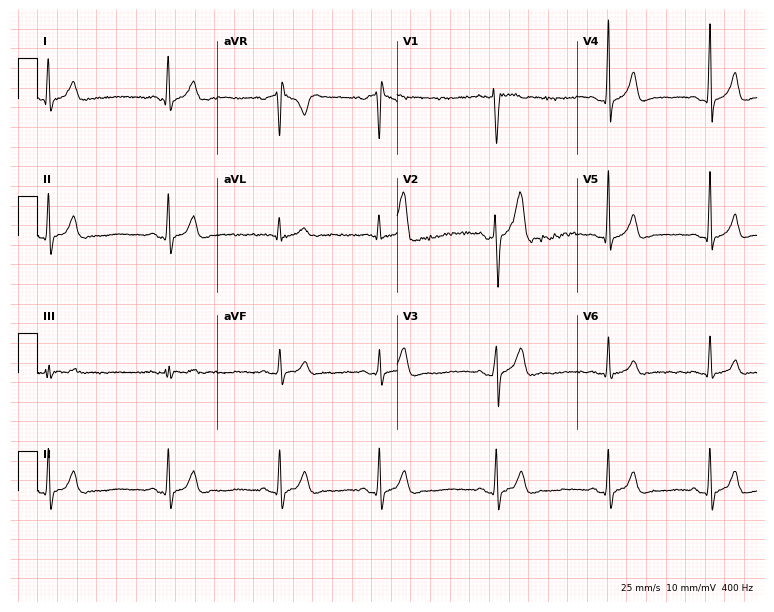
Resting 12-lead electrocardiogram (7.3-second recording at 400 Hz). Patient: a man, 21 years old. Read as a normal ECG.